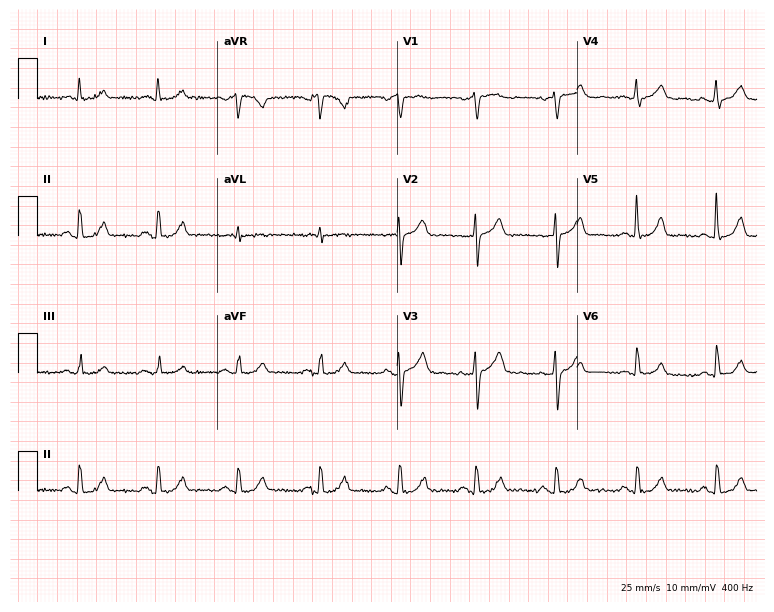
12-lead ECG (7.3-second recording at 400 Hz) from a 69-year-old man. Labelled as a normal ECG.